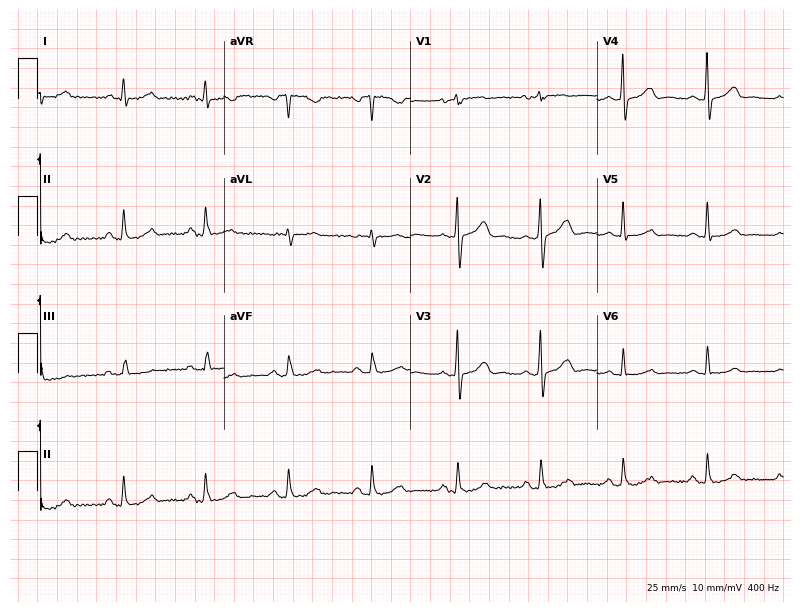
Resting 12-lead electrocardiogram. Patient: a male, 70 years old. None of these six findings is recorded: first-degree AV block, right bundle branch block, left bundle branch block, sinus bradycardia, atrial fibrillation, sinus tachycardia.